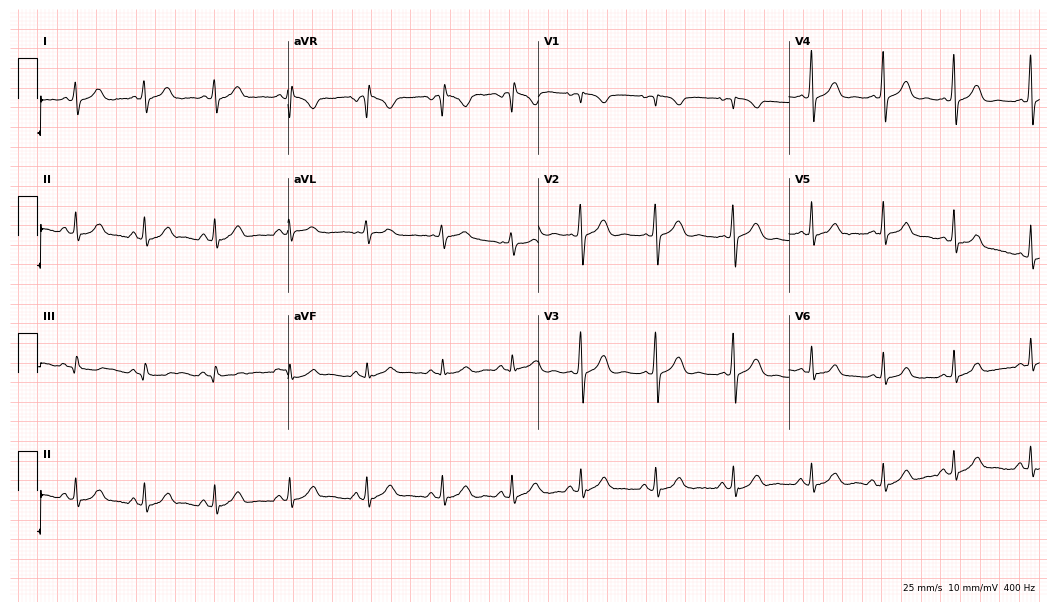
12-lead ECG (10.2-second recording at 400 Hz) from a 33-year-old female. Labelled as a normal ECG.